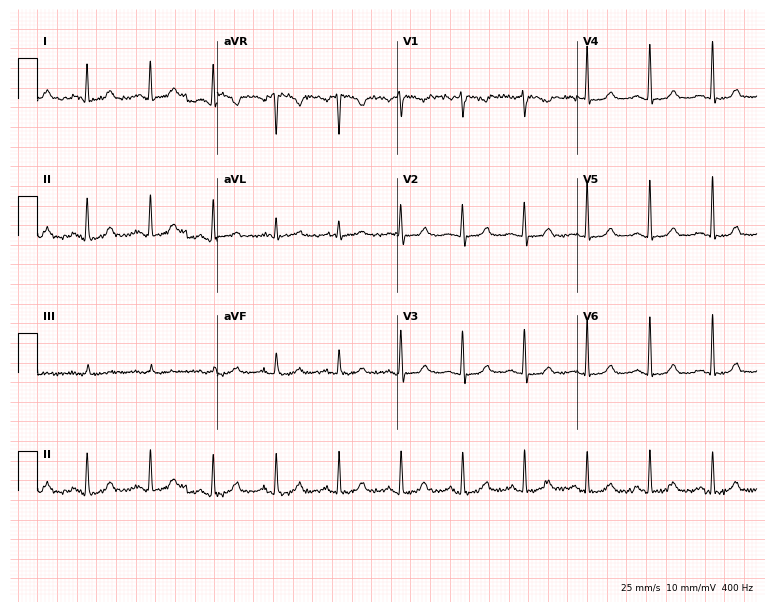
12-lead ECG from a female patient, 67 years old. Recorded interpretation: within normal limits.